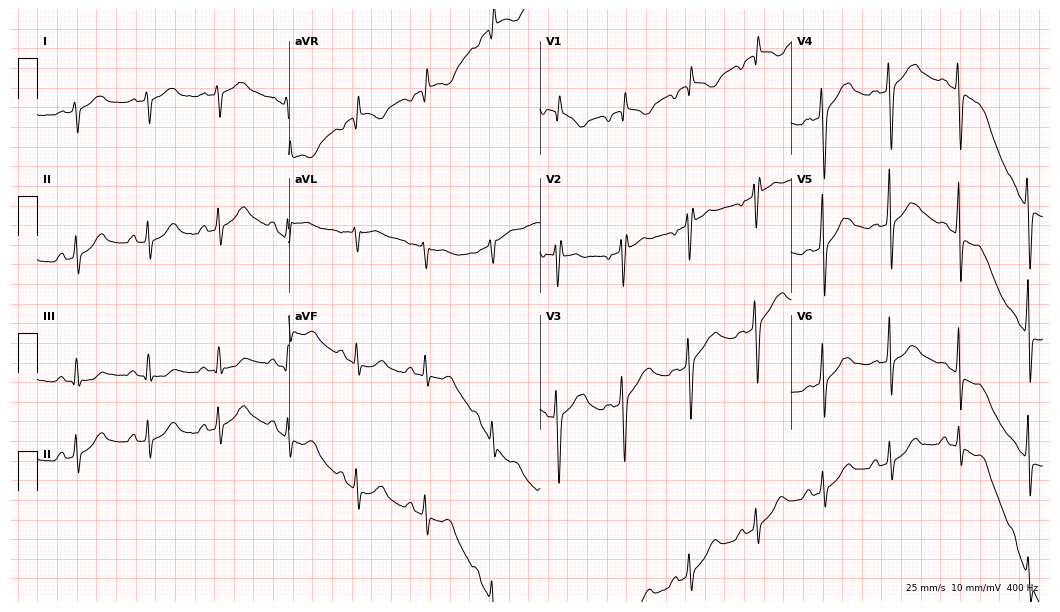
ECG — a 33-year-old male patient. Screened for six findings — first-degree AV block, right bundle branch block (RBBB), left bundle branch block (LBBB), sinus bradycardia, atrial fibrillation (AF), sinus tachycardia — none is recorded. Findings outside these six are not listed.